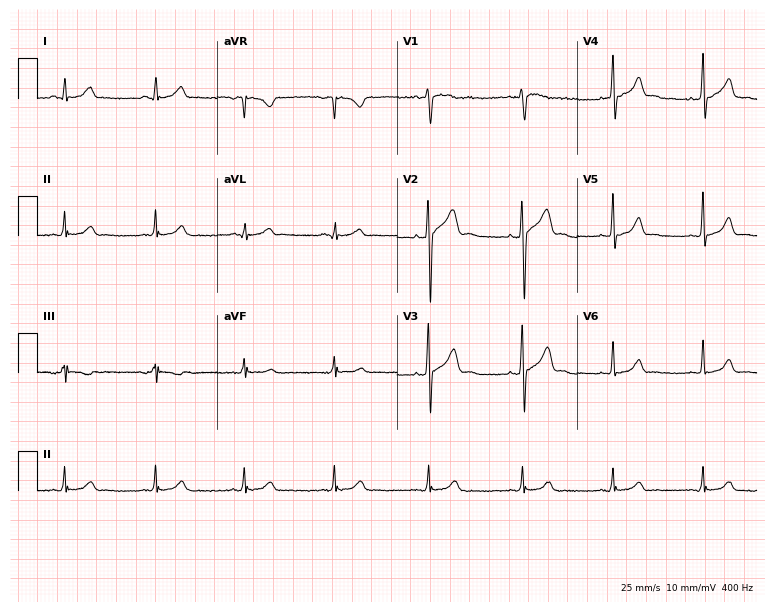
Standard 12-lead ECG recorded from a 39-year-old man. None of these six findings is recorded: first-degree AV block, right bundle branch block (RBBB), left bundle branch block (LBBB), sinus bradycardia, atrial fibrillation (AF), sinus tachycardia.